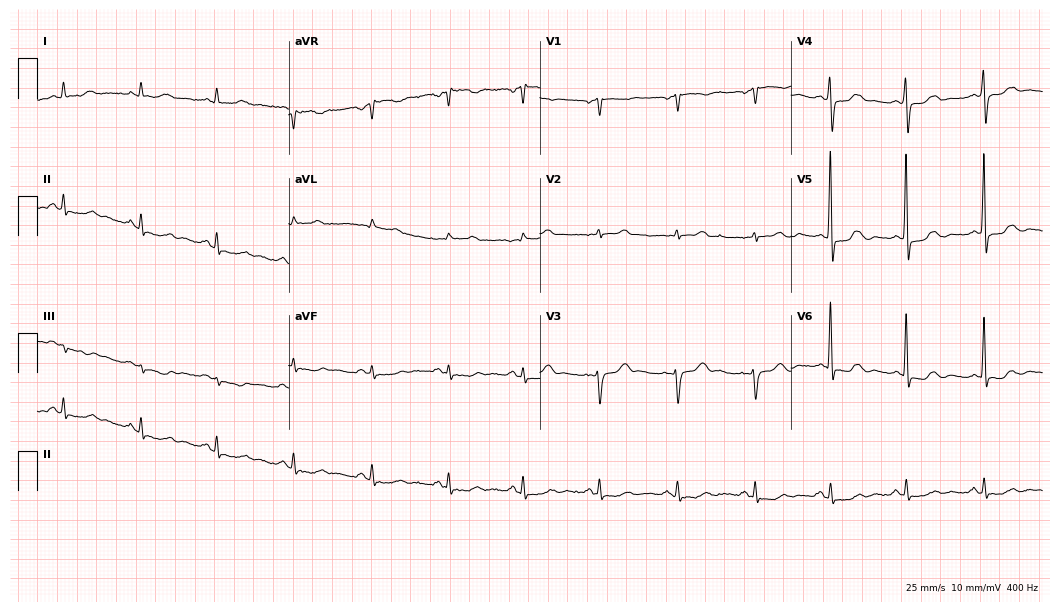
12-lead ECG (10.2-second recording at 400 Hz) from a 54-year-old female patient. Screened for six findings — first-degree AV block, right bundle branch block, left bundle branch block, sinus bradycardia, atrial fibrillation, sinus tachycardia — none is recorded.